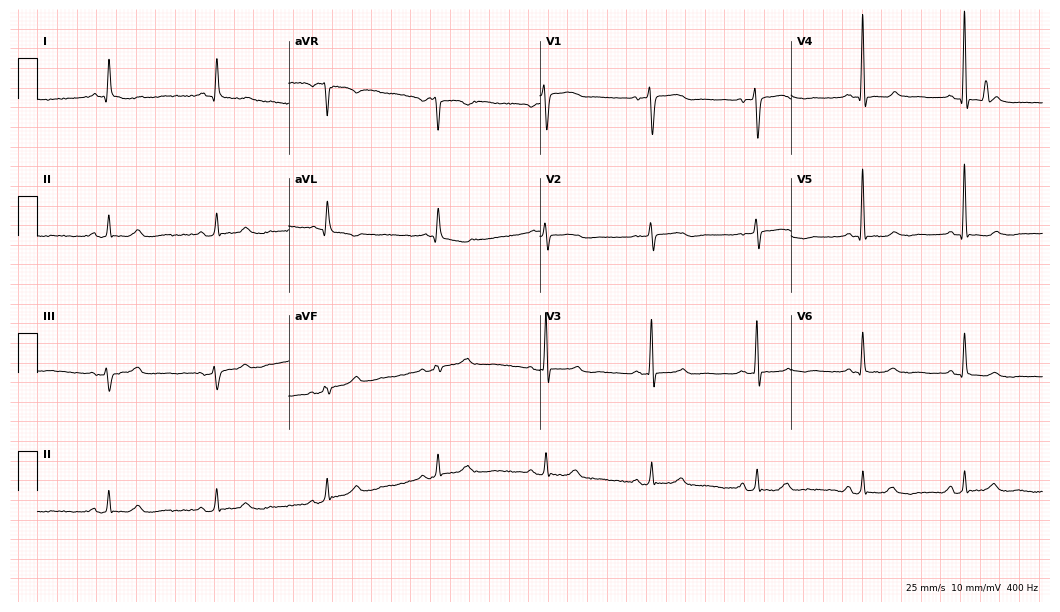
ECG — a female, 66 years old. Screened for six findings — first-degree AV block, right bundle branch block (RBBB), left bundle branch block (LBBB), sinus bradycardia, atrial fibrillation (AF), sinus tachycardia — none is recorded. Findings outside these six are not listed.